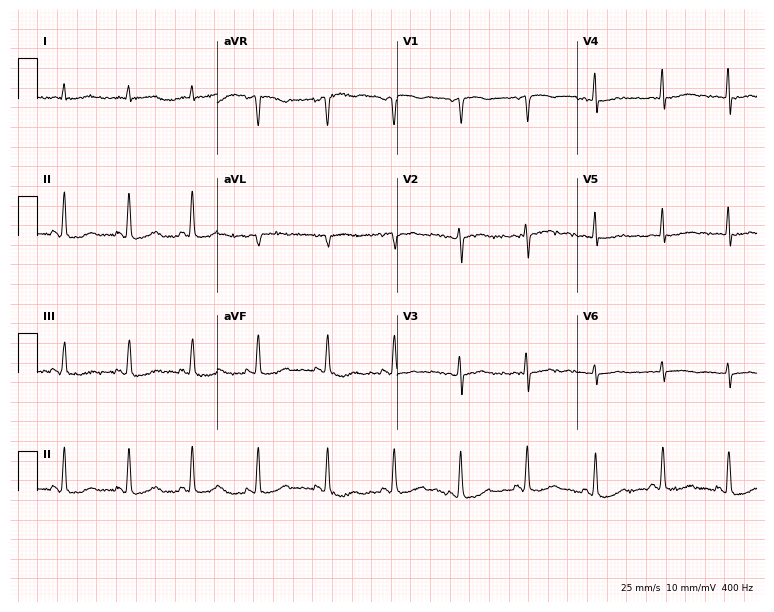
12-lead ECG from a 43-year-old woman. Screened for six findings — first-degree AV block, right bundle branch block, left bundle branch block, sinus bradycardia, atrial fibrillation, sinus tachycardia — none is recorded.